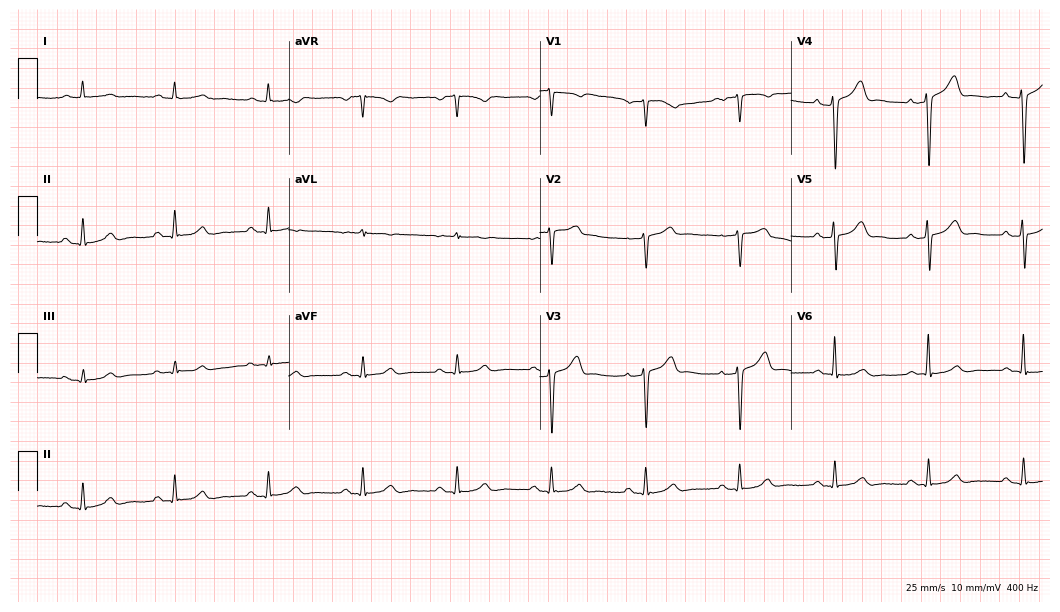
Resting 12-lead electrocardiogram. Patient: a 59-year-old man. None of these six findings is recorded: first-degree AV block, right bundle branch block (RBBB), left bundle branch block (LBBB), sinus bradycardia, atrial fibrillation (AF), sinus tachycardia. Findings outside these six are not listed.